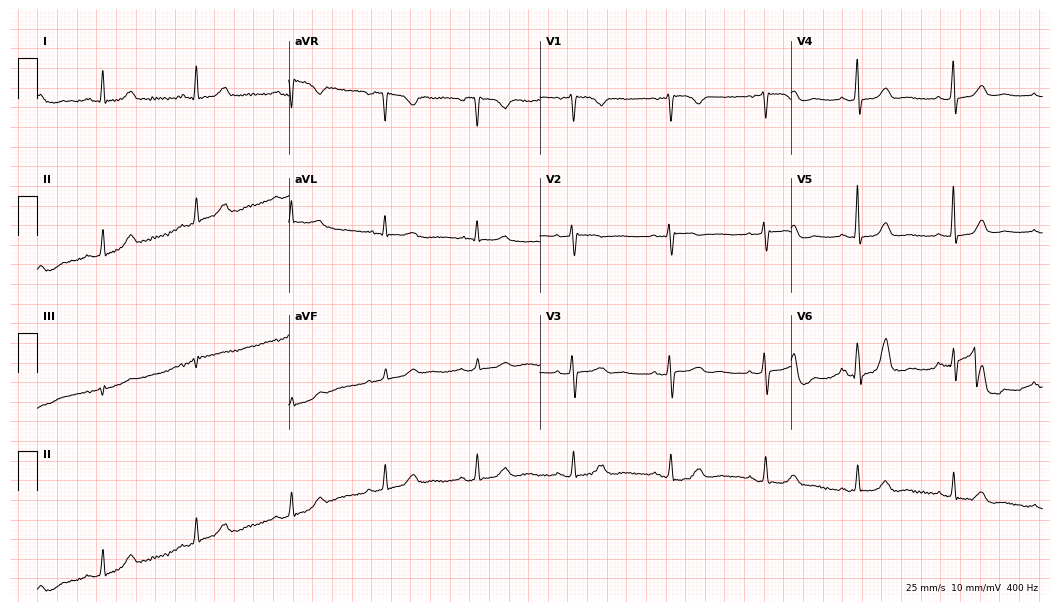
Standard 12-lead ECG recorded from a 66-year-old female patient. Read as a normal ECG.